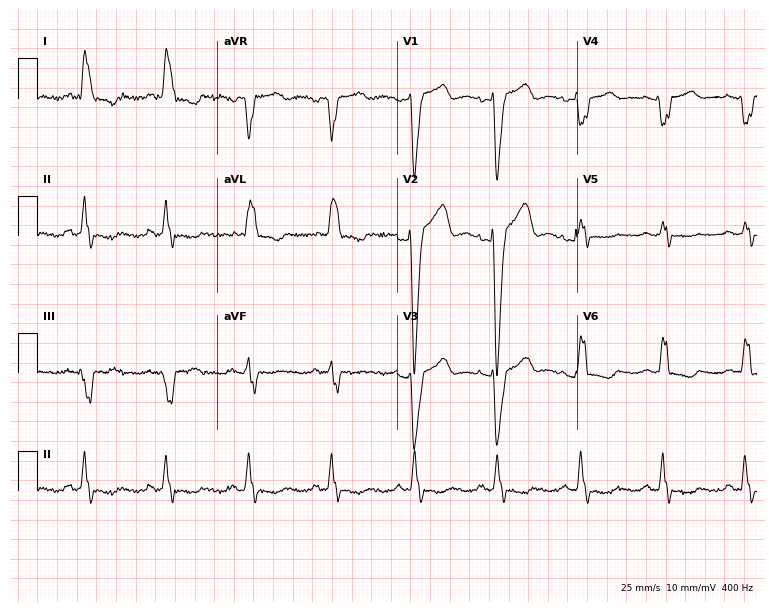
Resting 12-lead electrocardiogram (7.3-second recording at 400 Hz). Patient: a 66-year-old female. The tracing shows left bundle branch block.